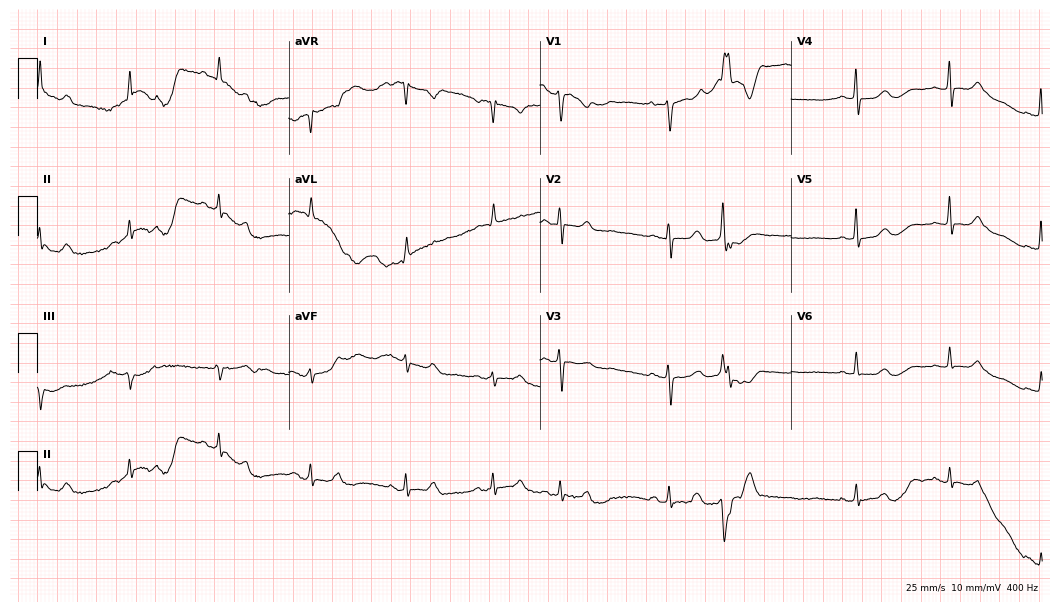
12-lead ECG from a female, 74 years old (10.2-second recording at 400 Hz). No first-degree AV block, right bundle branch block, left bundle branch block, sinus bradycardia, atrial fibrillation or sinus tachycardia recorded for this tracing.